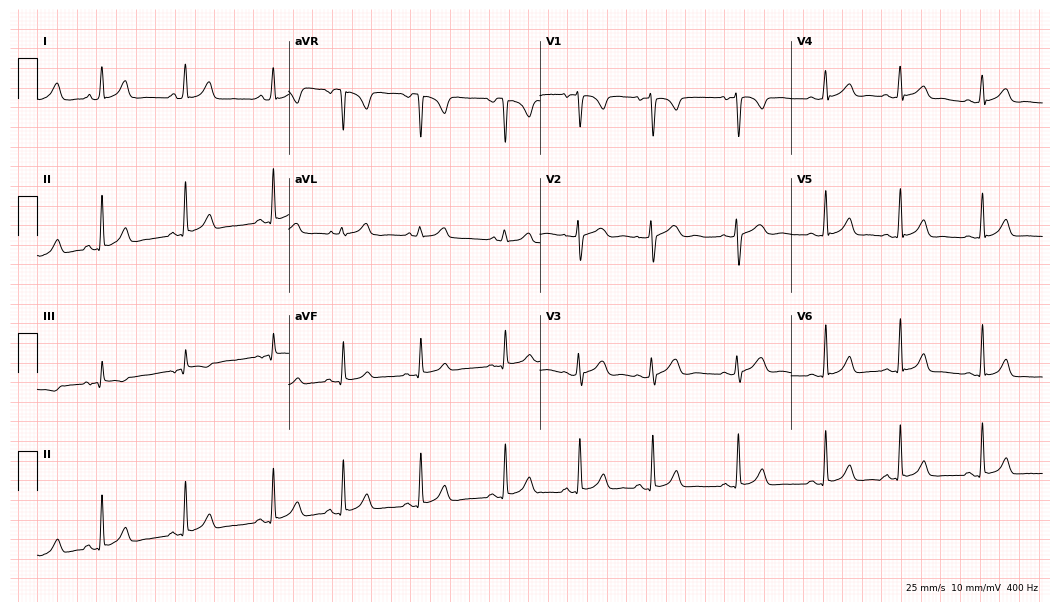
12-lead ECG from a female patient, 18 years old (10.2-second recording at 400 Hz). Recorded interpretation: within normal limits.